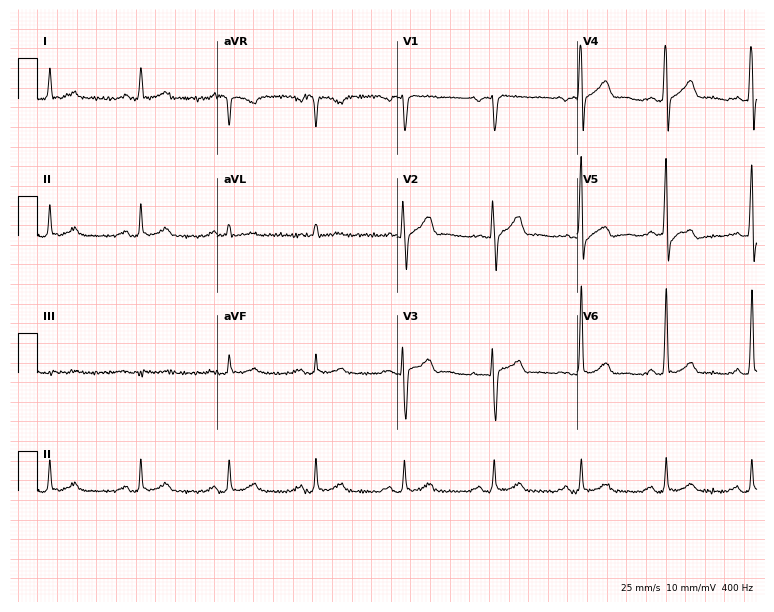
Electrocardiogram (7.3-second recording at 400 Hz), a male patient, 53 years old. Of the six screened findings (first-degree AV block, right bundle branch block (RBBB), left bundle branch block (LBBB), sinus bradycardia, atrial fibrillation (AF), sinus tachycardia), none is recorded.